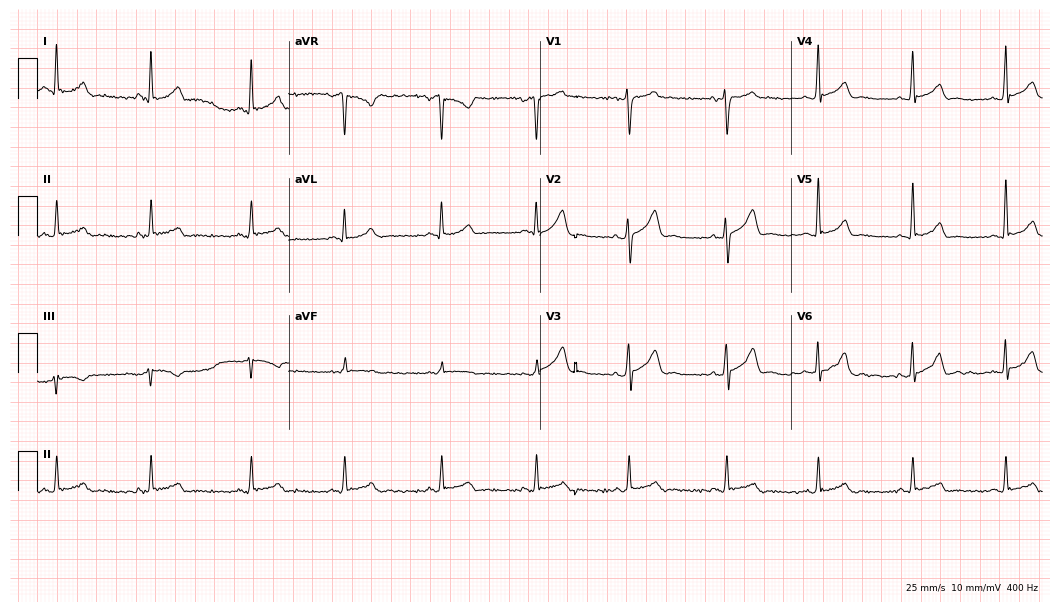
12-lead ECG from a 38-year-old male. Recorded interpretation: within normal limits.